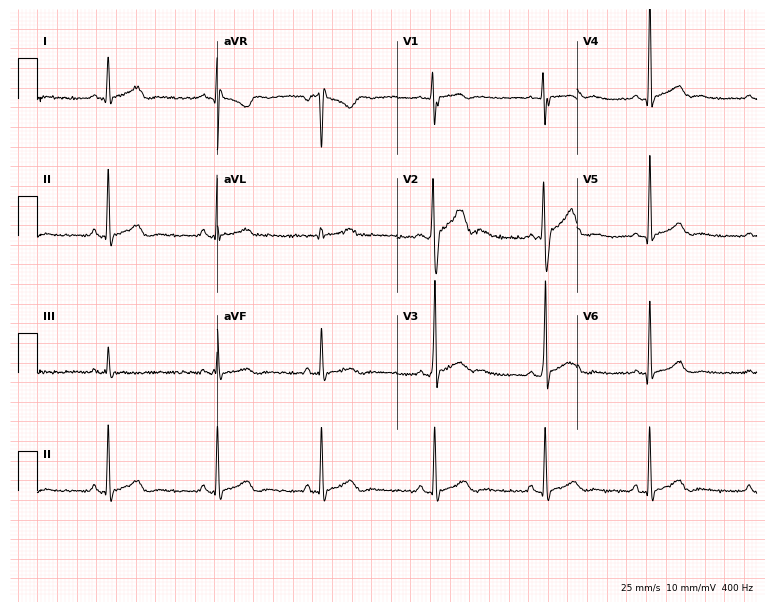
Resting 12-lead electrocardiogram. Patient: a 22-year-old man. Read as a normal ECG.